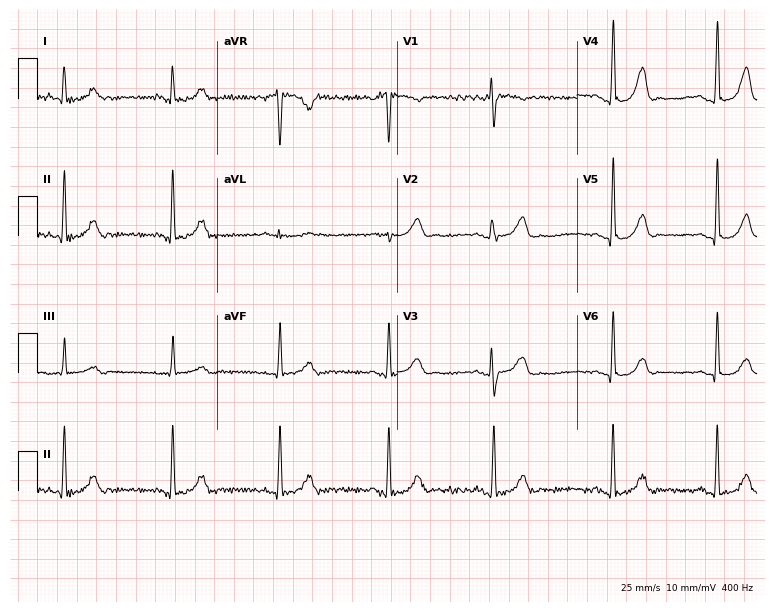
ECG (7.3-second recording at 400 Hz) — a 37-year-old female. Screened for six findings — first-degree AV block, right bundle branch block, left bundle branch block, sinus bradycardia, atrial fibrillation, sinus tachycardia — none is recorded. Findings outside these six are not listed.